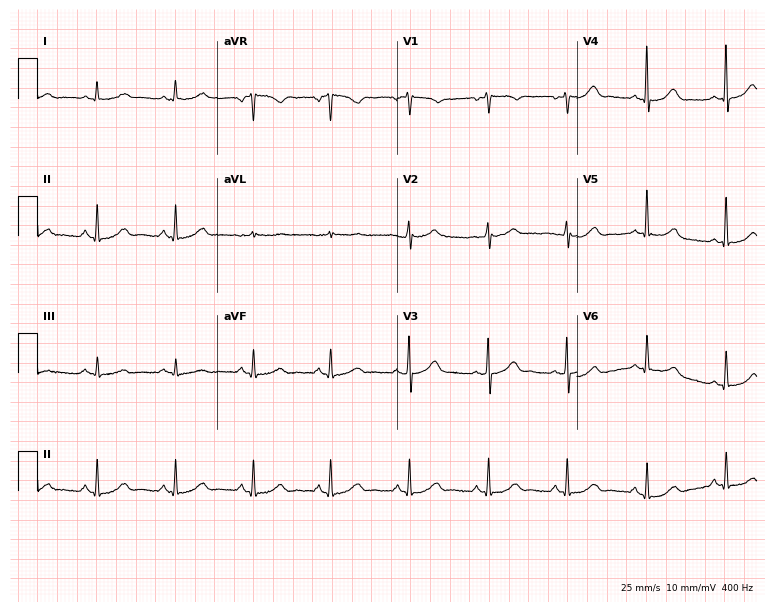
Electrocardiogram, a 57-year-old female patient. Overall reading on record: normal ECG.